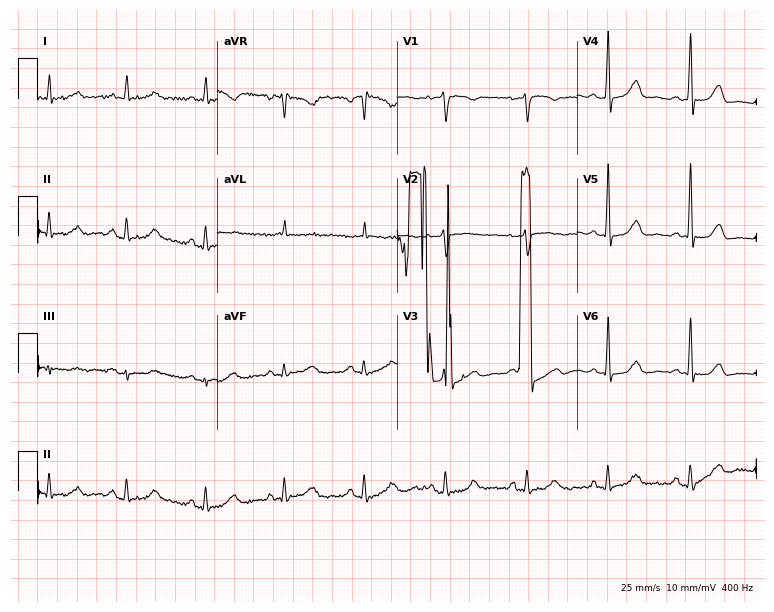
ECG (7.3-second recording at 400 Hz) — a 48-year-old female. Screened for six findings — first-degree AV block, right bundle branch block (RBBB), left bundle branch block (LBBB), sinus bradycardia, atrial fibrillation (AF), sinus tachycardia — none is recorded. Other findings, if any, are not listed.